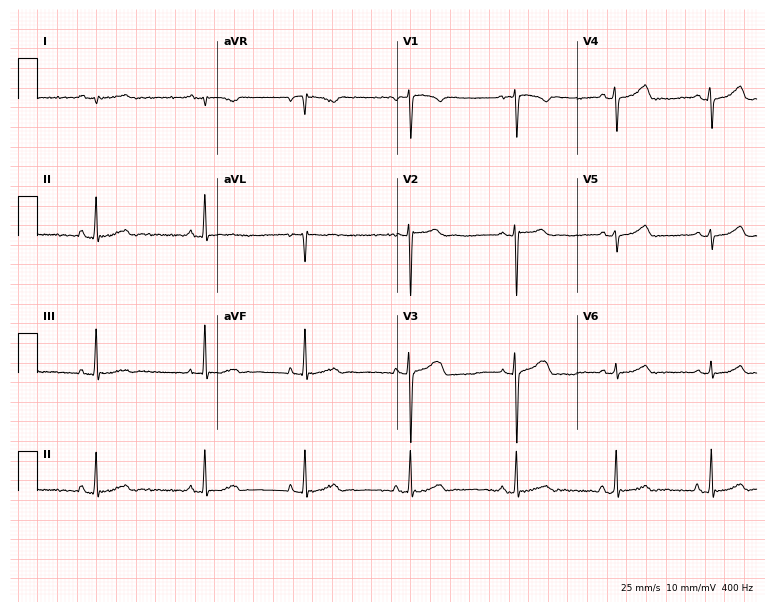
Electrocardiogram (7.3-second recording at 400 Hz), a 20-year-old male. Of the six screened findings (first-degree AV block, right bundle branch block (RBBB), left bundle branch block (LBBB), sinus bradycardia, atrial fibrillation (AF), sinus tachycardia), none is recorded. Findings outside these six are not listed.